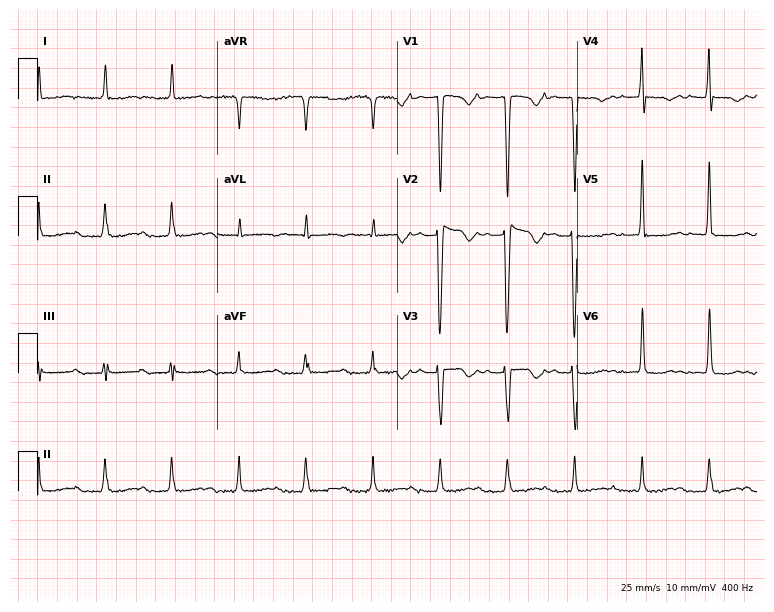
Electrocardiogram (7.3-second recording at 400 Hz), a female patient, 81 years old. Of the six screened findings (first-degree AV block, right bundle branch block, left bundle branch block, sinus bradycardia, atrial fibrillation, sinus tachycardia), none is recorded.